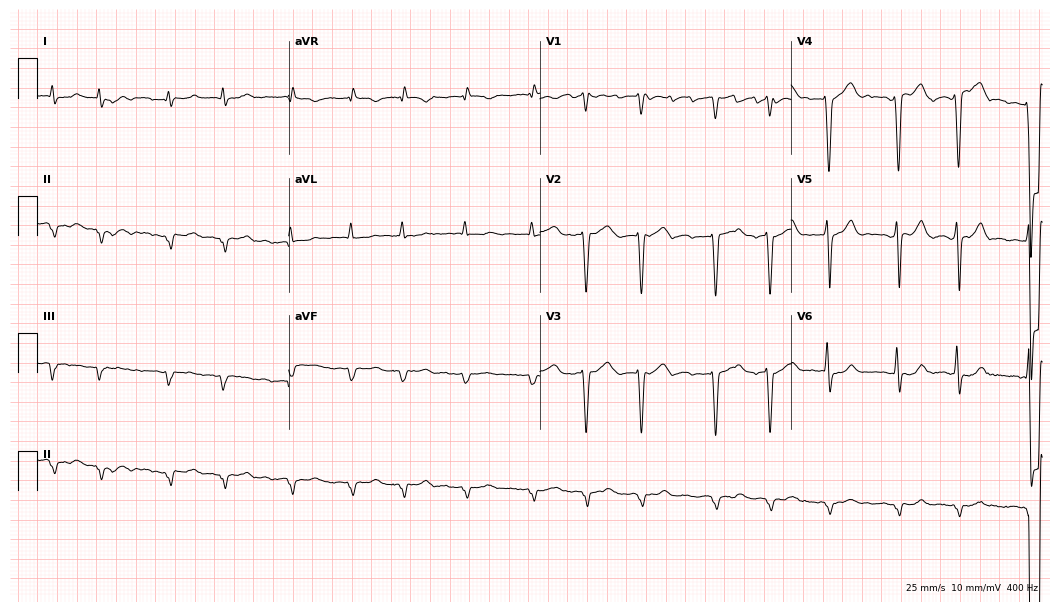
Standard 12-lead ECG recorded from a male patient, 79 years old (10.2-second recording at 400 Hz). The tracing shows atrial fibrillation (AF).